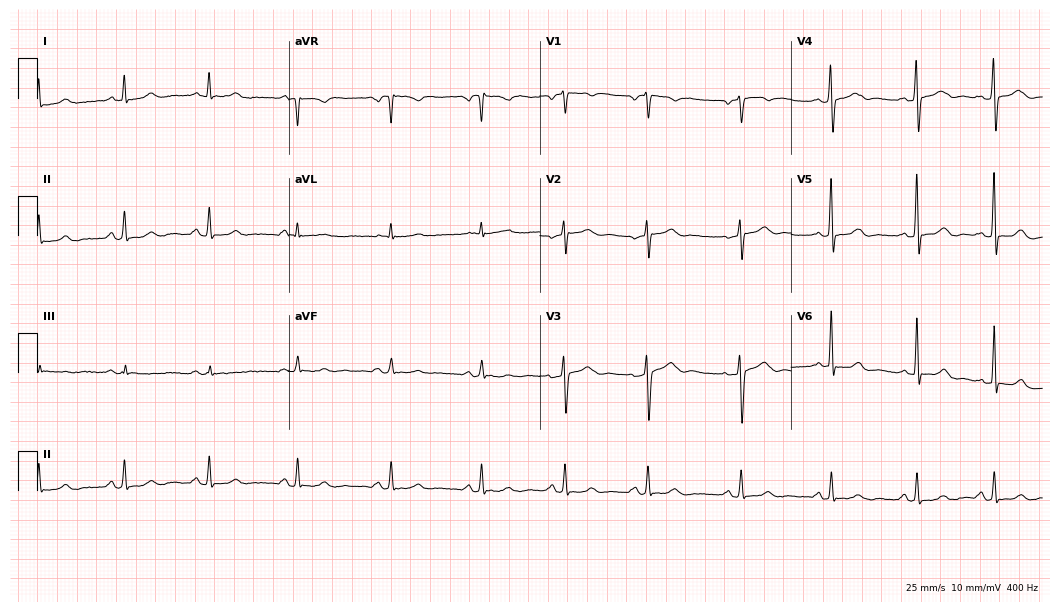
ECG — a 37-year-old female. Screened for six findings — first-degree AV block, right bundle branch block, left bundle branch block, sinus bradycardia, atrial fibrillation, sinus tachycardia — none is recorded.